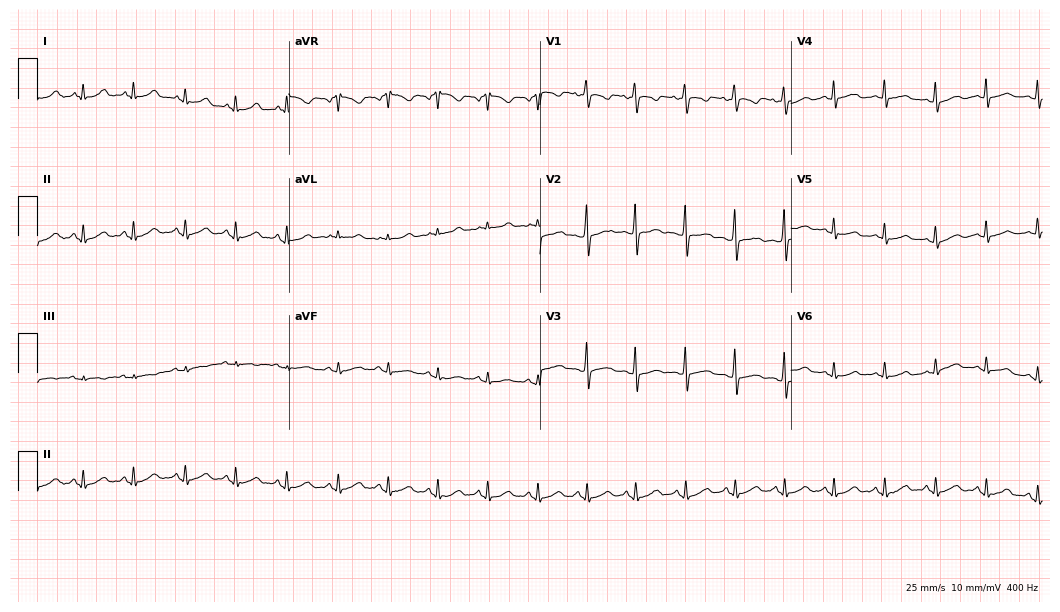
12-lead ECG (10.2-second recording at 400 Hz) from a female, 32 years old. Findings include sinus tachycardia (a sinus rate of 100 beats per minute or more).